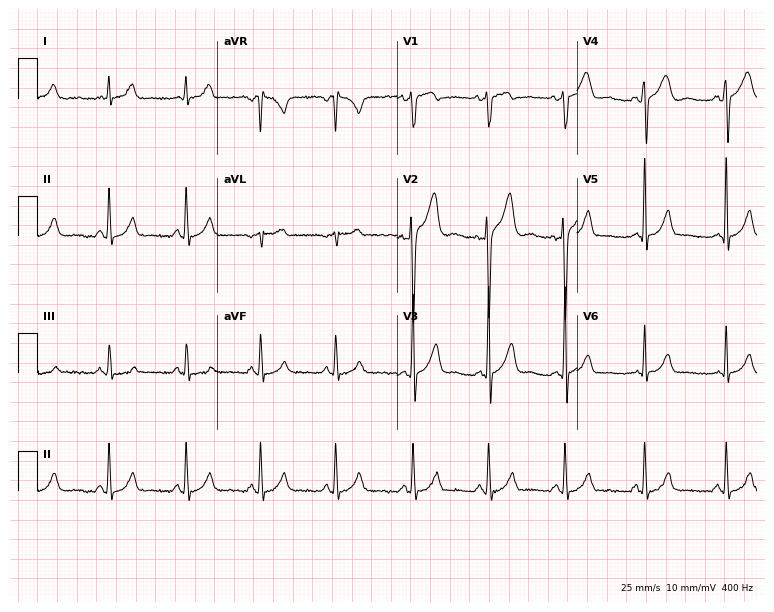
12-lead ECG from a 34-year-old male (7.3-second recording at 400 Hz). No first-degree AV block, right bundle branch block, left bundle branch block, sinus bradycardia, atrial fibrillation or sinus tachycardia recorded for this tracing. Findings outside these six are not listed.